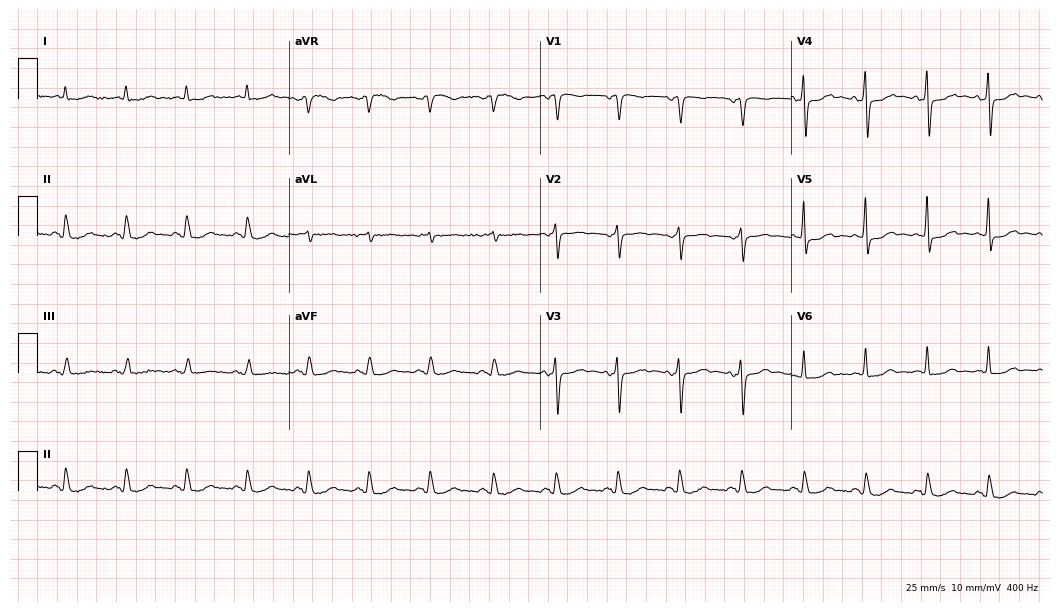
Electrocardiogram (10.2-second recording at 400 Hz), a woman, 67 years old. Of the six screened findings (first-degree AV block, right bundle branch block, left bundle branch block, sinus bradycardia, atrial fibrillation, sinus tachycardia), none is recorded.